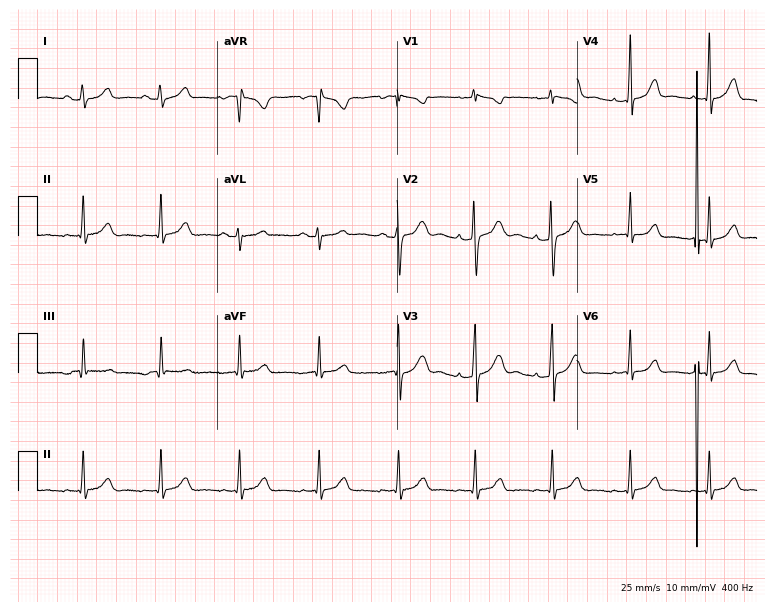
Standard 12-lead ECG recorded from a 22-year-old woman. None of these six findings is recorded: first-degree AV block, right bundle branch block, left bundle branch block, sinus bradycardia, atrial fibrillation, sinus tachycardia. Other findings, if any, are not listed.